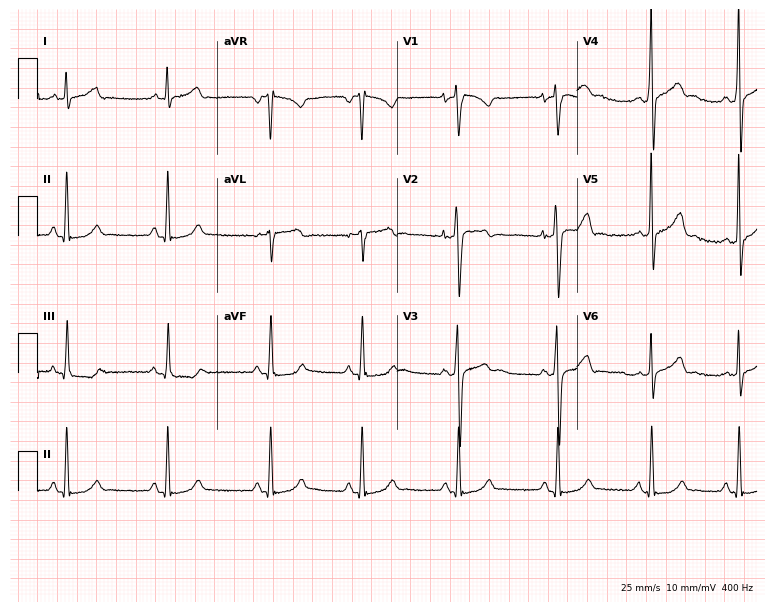
Resting 12-lead electrocardiogram (7.3-second recording at 400 Hz). Patient: a 28-year-old man. Read as a normal ECG.